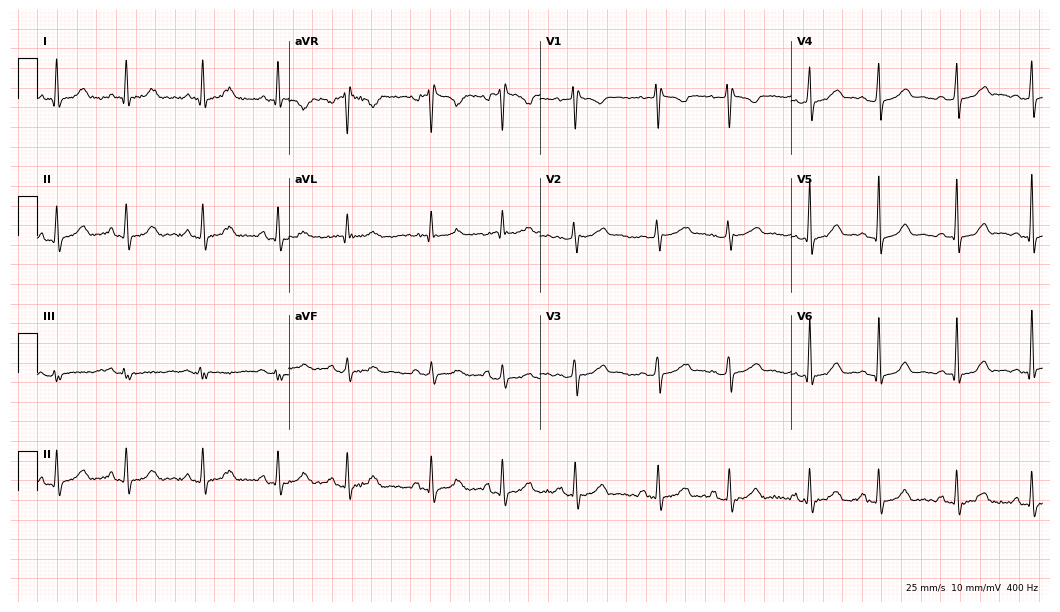
Resting 12-lead electrocardiogram. Patient: a 29-year-old woman. Read as a normal ECG.